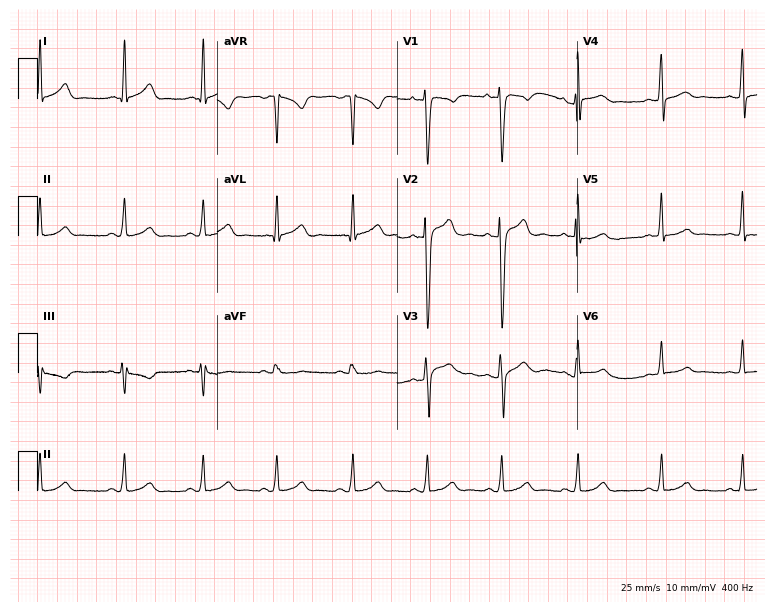
Standard 12-lead ECG recorded from a 23-year-old male (7.3-second recording at 400 Hz). Read as a normal ECG.